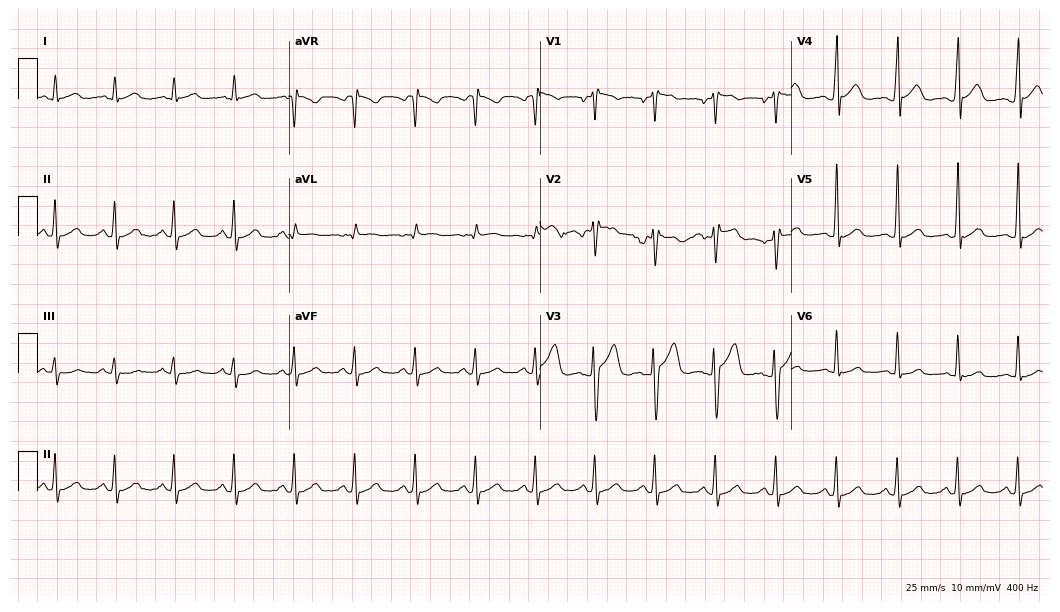
12-lead ECG (10.2-second recording at 400 Hz) from a 22-year-old male. Screened for six findings — first-degree AV block, right bundle branch block, left bundle branch block, sinus bradycardia, atrial fibrillation, sinus tachycardia — none is recorded.